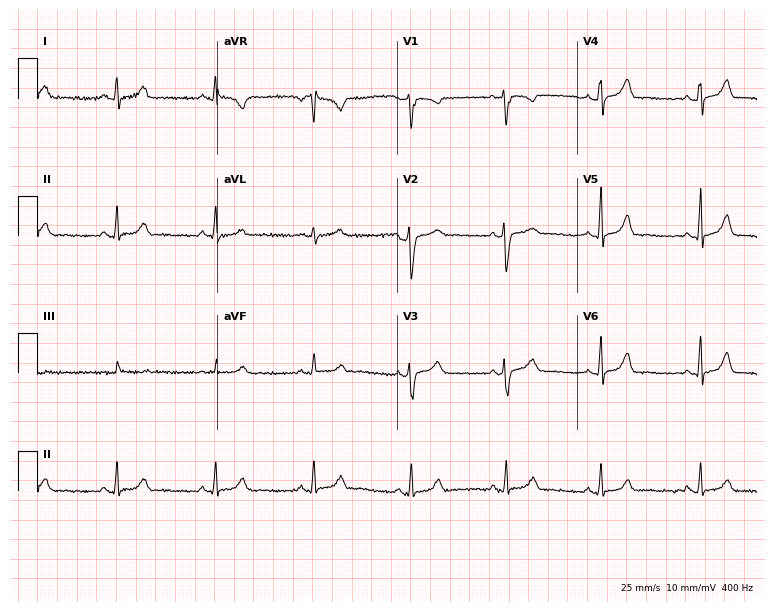
Electrocardiogram (7.3-second recording at 400 Hz), a 34-year-old woman. Of the six screened findings (first-degree AV block, right bundle branch block (RBBB), left bundle branch block (LBBB), sinus bradycardia, atrial fibrillation (AF), sinus tachycardia), none is recorded. Other findings, if any, are not listed.